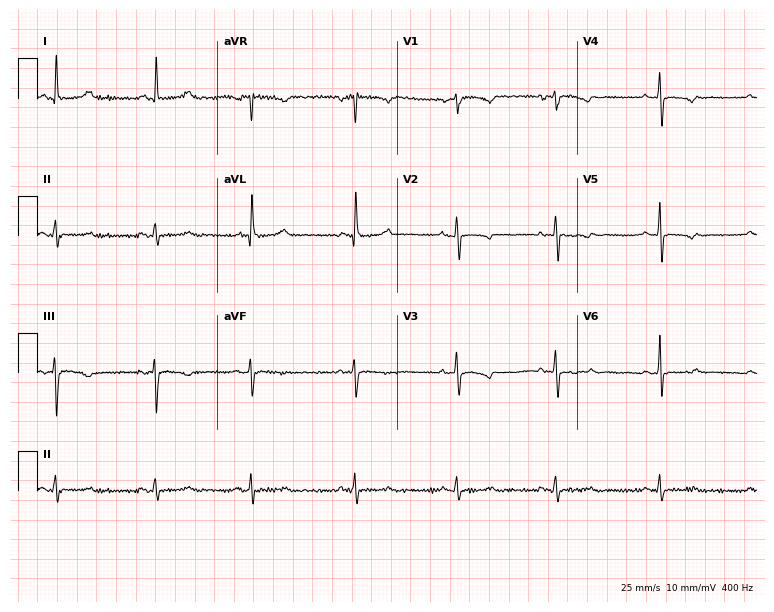
ECG — a 57-year-old woman. Screened for six findings — first-degree AV block, right bundle branch block, left bundle branch block, sinus bradycardia, atrial fibrillation, sinus tachycardia — none is recorded. Other findings, if any, are not listed.